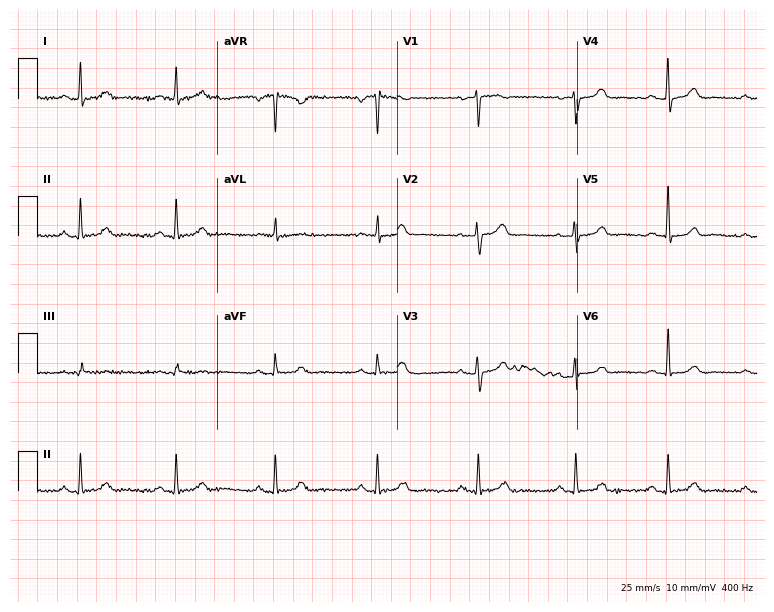
12-lead ECG (7.3-second recording at 400 Hz) from a 58-year-old female patient. Labelled as a normal ECG.